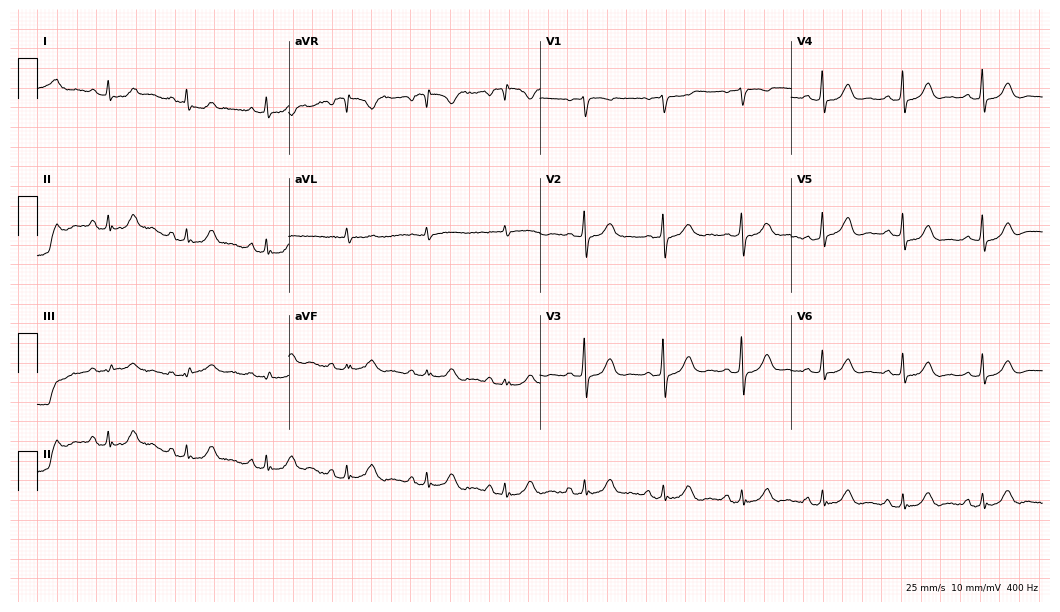
ECG (10.2-second recording at 400 Hz) — a 62-year-old woman. Labelled as a normal ECG.